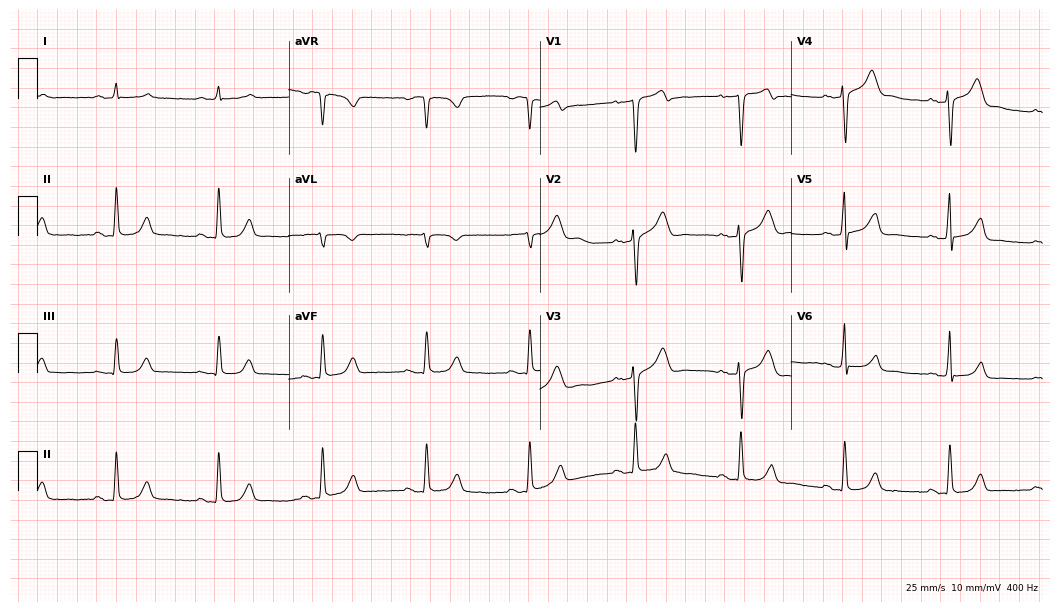
12-lead ECG from a 71-year-old male. Recorded interpretation: within normal limits.